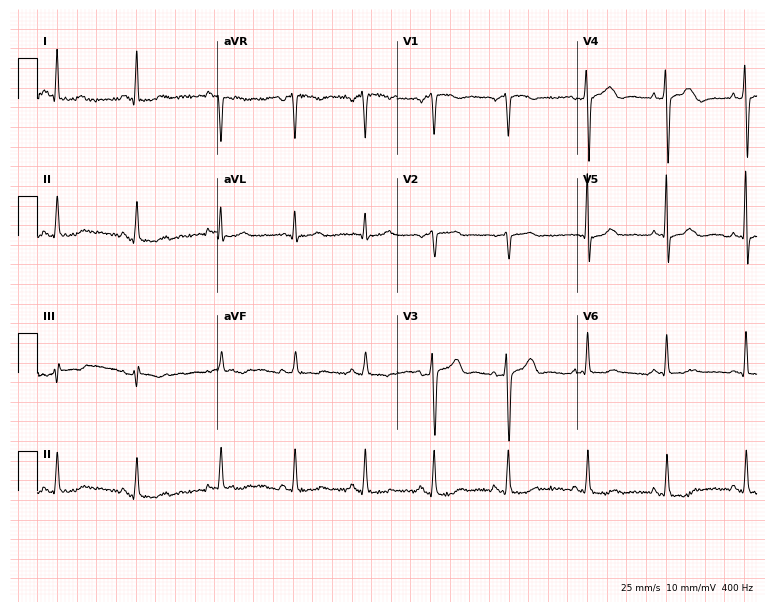
Resting 12-lead electrocardiogram. Patient: a 49-year-old female. Read as a normal ECG.